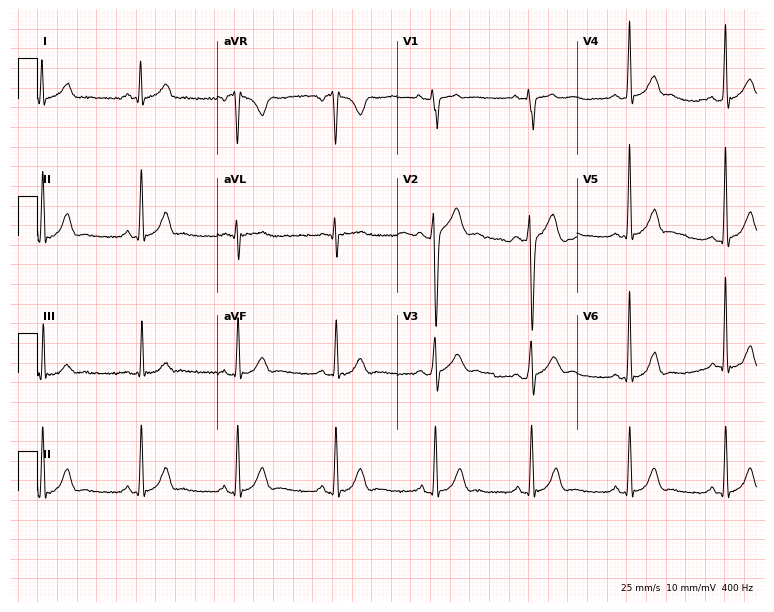
Resting 12-lead electrocardiogram (7.3-second recording at 400 Hz). Patient: a male, 34 years old. Read as a normal ECG.